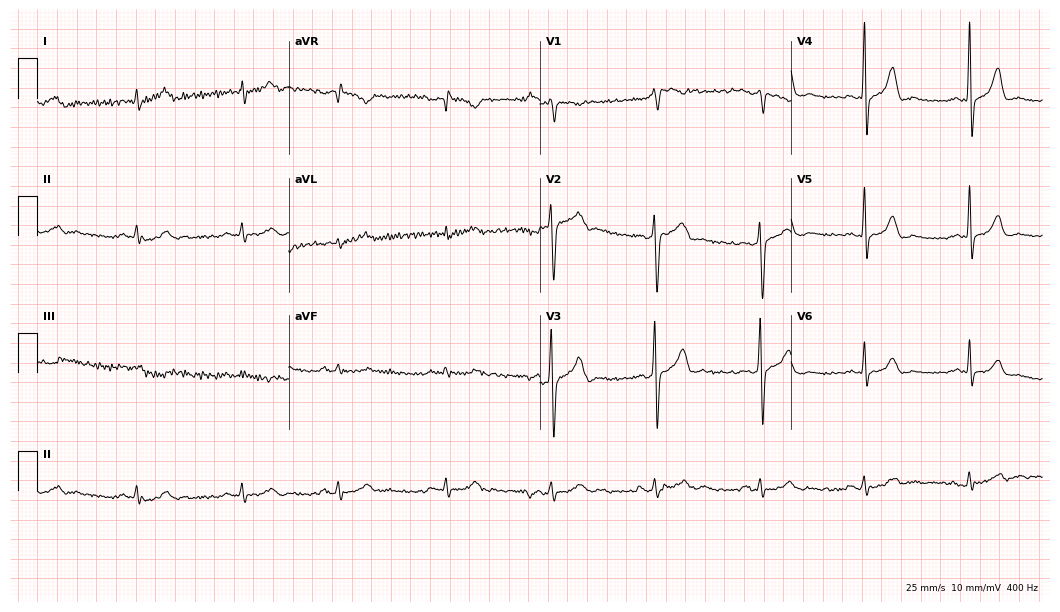
Resting 12-lead electrocardiogram (10.2-second recording at 400 Hz). Patient: a male, 39 years old. None of these six findings is recorded: first-degree AV block, right bundle branch block (RBBB), left bundle branch block (LBBB), sinus bradycardia, atrial fibrillation (AF), sinus tachycardia.